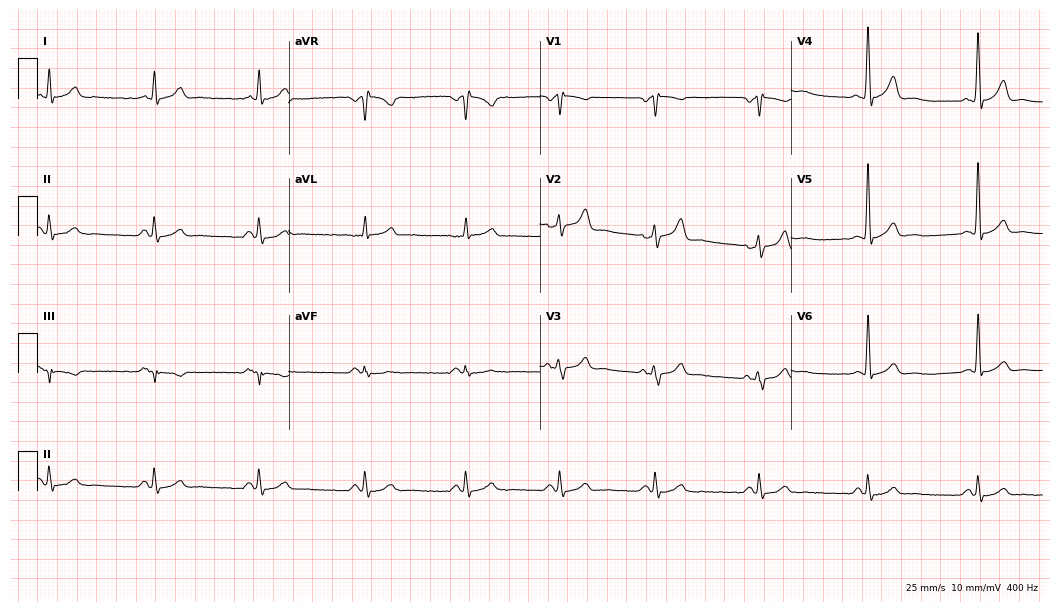
ECG — a man, 48 years old. Screened for six findings — first-degree AV block, right bundle branch block, left bundle branch block, sinus bradycardia, atrial fibrillation, sinus tachycardia — none is recorded. Findings outside these six are not listed.